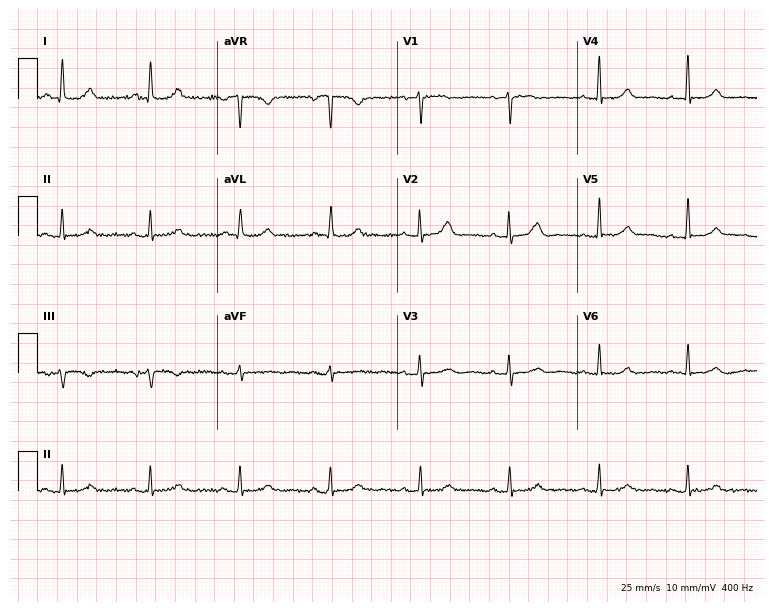
12-lead ECG (7.3-second recording at 400 Hz) from a woman, 74 years old. Labelled as a normal ECG.